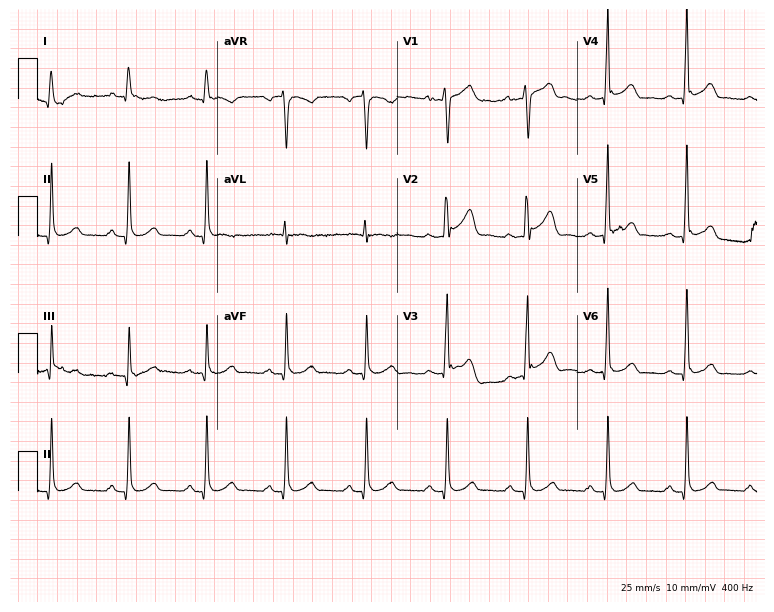
Standard 12-lead ECG recorded from a 50-year-old male patient (7.3-second recording at 400 Hz). Read as a normal ECG.